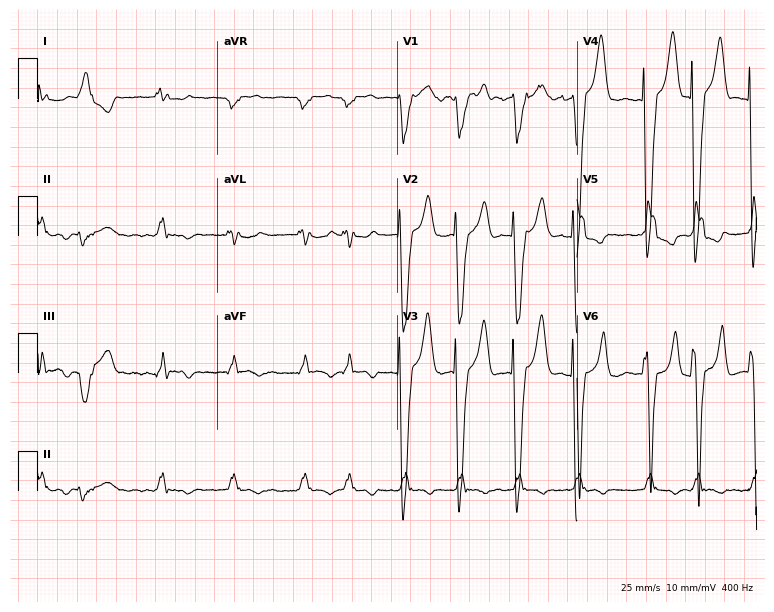
Resting 12-lead electrocardiogram. Patient: a male, 66 years old. The tracing shows left bundle branch block, atrial fibrillation.